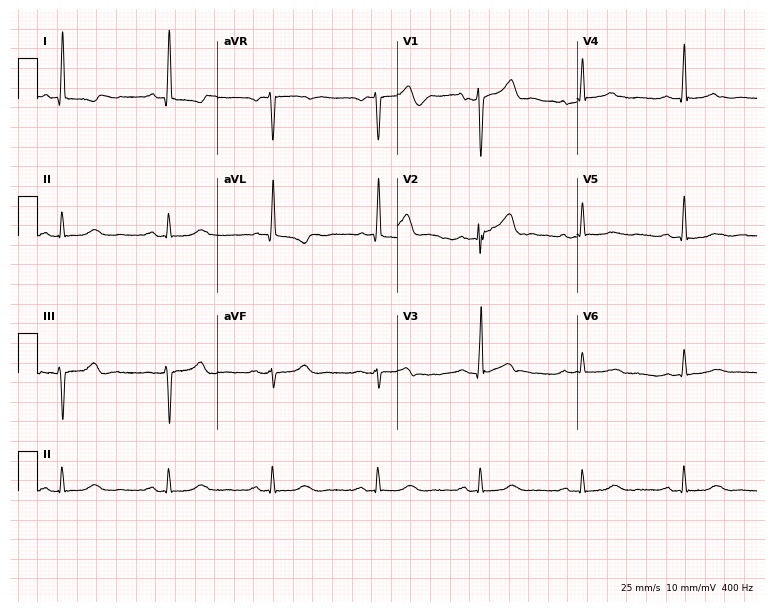
12-lead ECG from a male, 70 years old (7.3-second recording at 400 Hz). No first-degree AV block, right bundle branch block, left bundle branch block, sinus bradycardia, atrial fibrillation or sinus tachycardia recorded for this tracing.